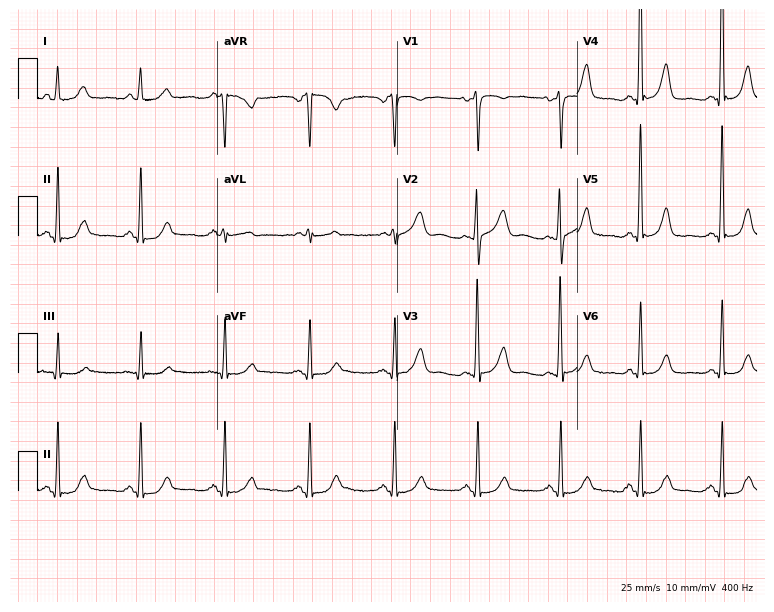
Standard 12-lead ECG recorded from a 44-year-old female patient (7.3-second recording at 400 Hz). None of these six findings is recorded: first-degree AV block, right bundle branch block (RBBB), left bundle branch block (LBBB), sinus bradycardia, atrial fibrillation (AF), sinus tachycardia.